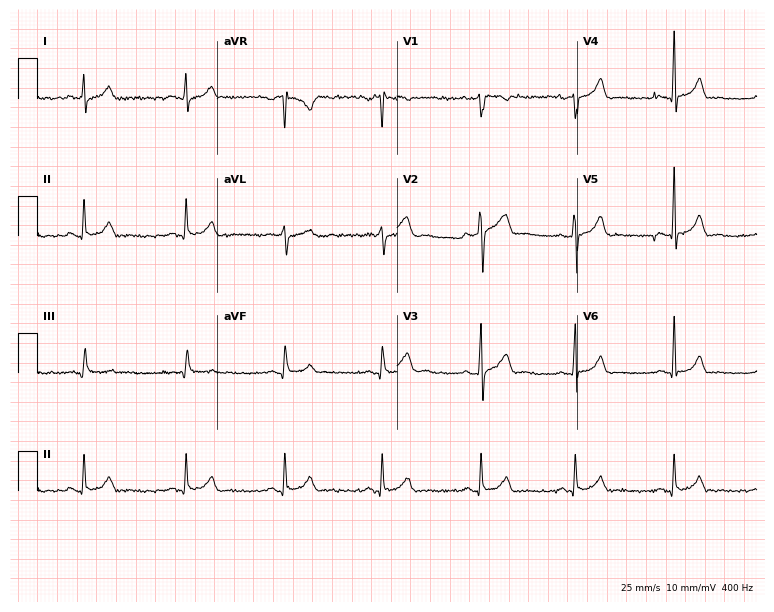
12-lead ECG (7.3-second recording at 400 Hz) from a male patient, 40 years old. Screened for six findings — first-degree AV block, right bundle branch block, left bundle branch block, sinus bradycardia, atrial fibrillation, sinus tachycardia — none is recorded. Findings outside these six are not listed.